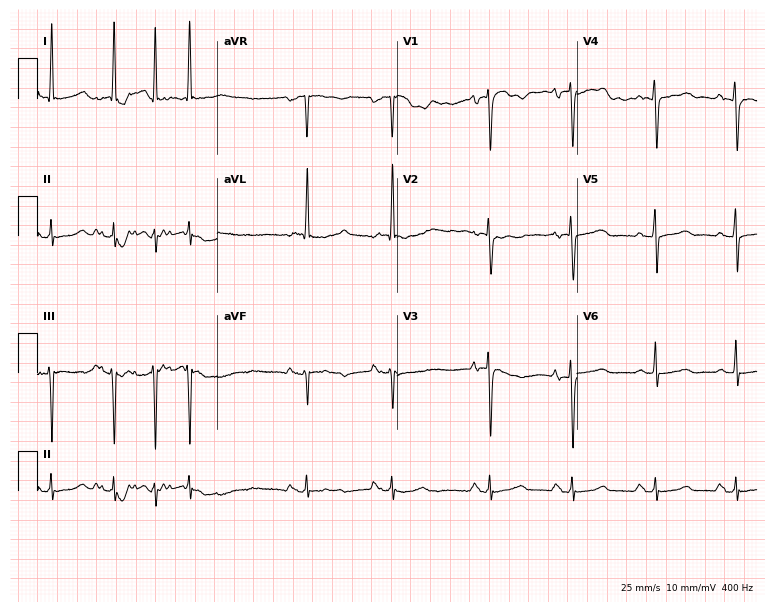
Electrocardiogram, an 85-year-old female patient. Overall reading on record: normal ECG.